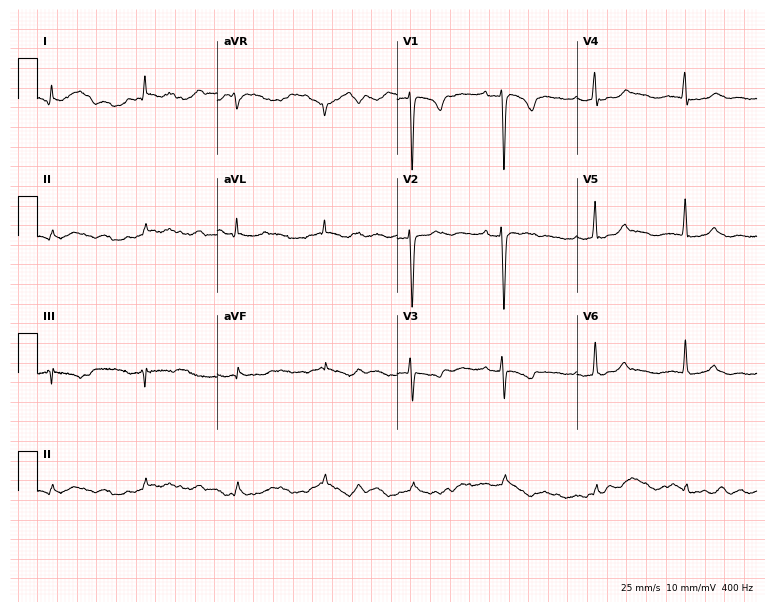
Standard 12-lead ECG recorded from a female patient, 33 years old. None of these six findings is recorded: first-degree AV block, right bundle branch block, left bundle branch block, sinus bradycardia, atrial fibrillation, sinus tachycardia. Findings outside these six are not listed.